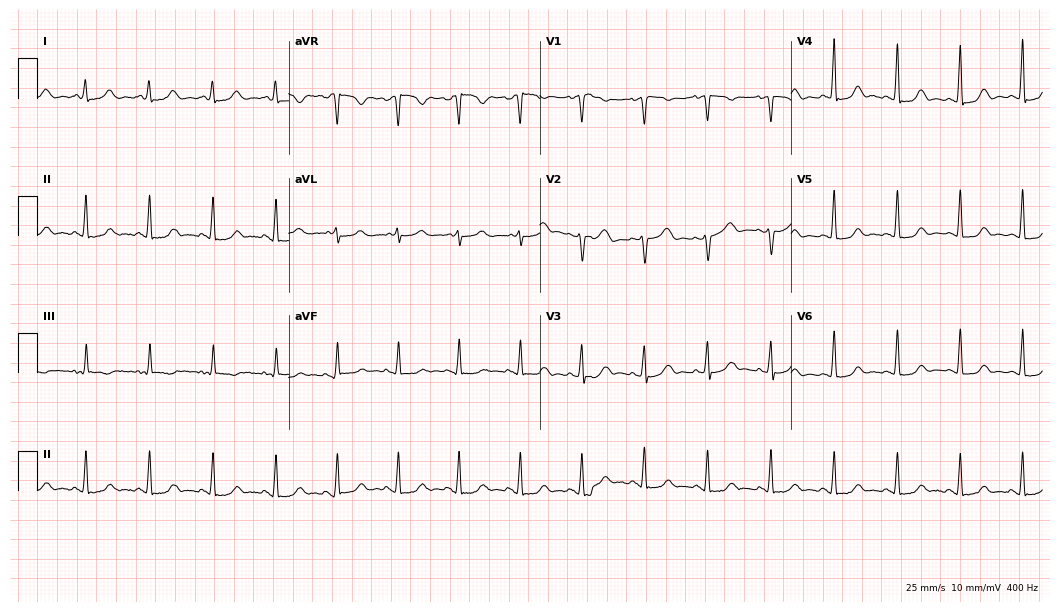
12-lead ECG from a 65-year-old female patient. Labelled as a normal ECG.